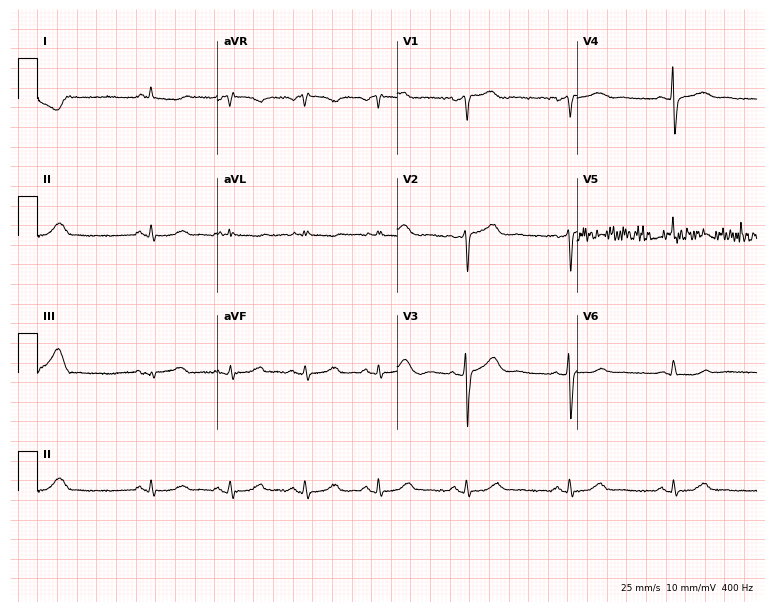
Standard 12-lead ECG recorded from a 59-year-old female (7.3-second recording at 400 Hz). Read as a normal ECG.